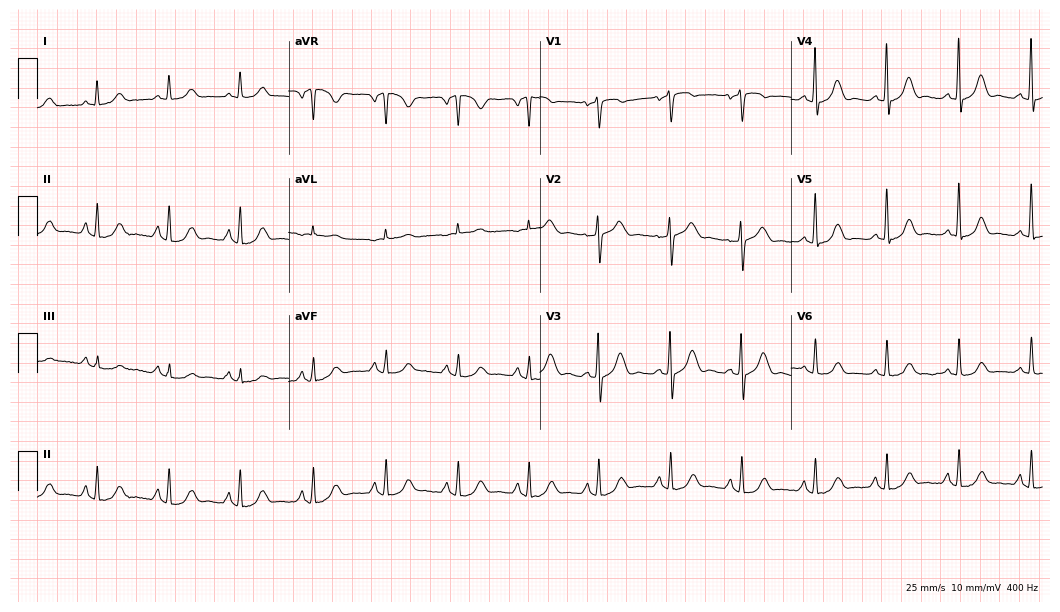
12-lead ECG from a 69-year-old female patient. Labelled as a normal ECG.